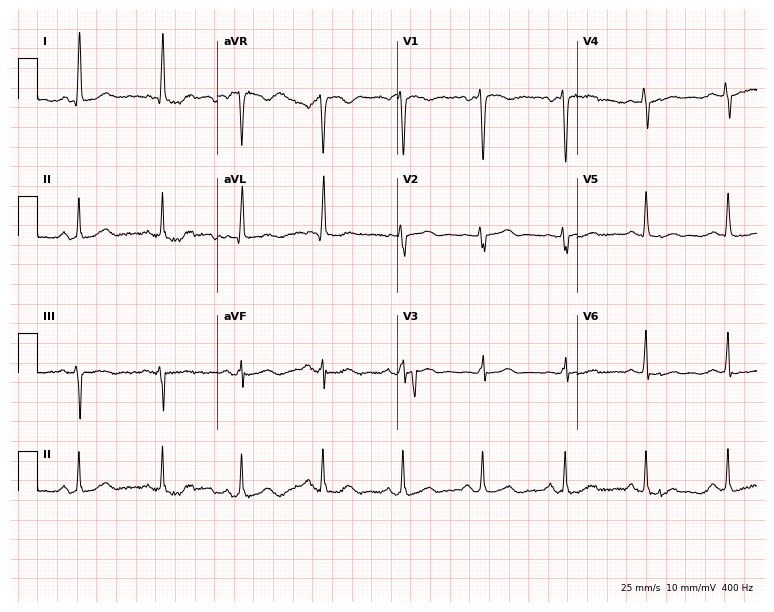
12-lead ECG from a female, 47 years old. Recorded interpretation: within normal limits.